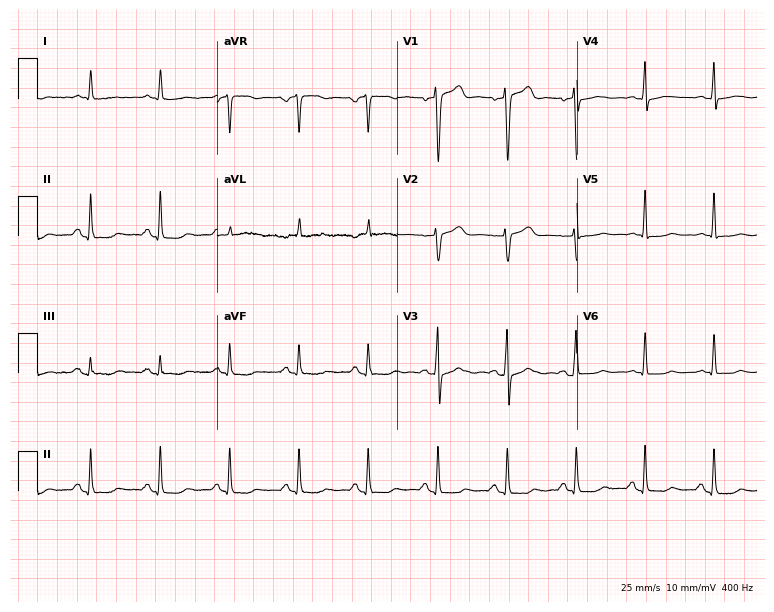
12-lead ECG from a 65-year-old male patient. No first-degree AV block, right bundle branch block, left bundle branch block, sinus bradycardia, atrial fibrillation or sinus tachycardia recorded for this tracing. Findings outside these six are not listed.